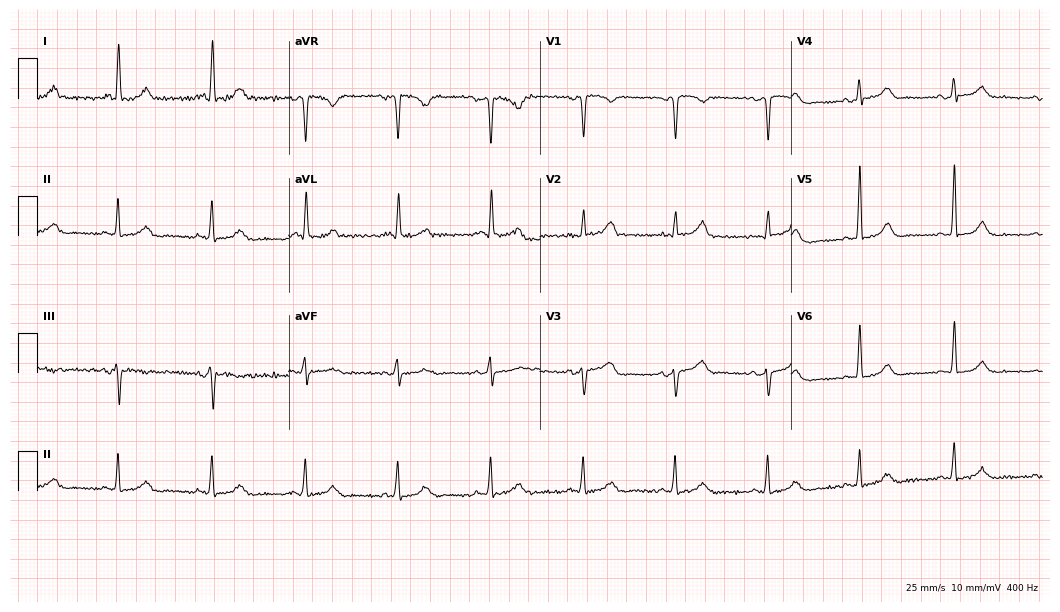
Electrocardiogram (10.2-second recording at 400 Hz), a 64-year-old female. Overall reading on record: normal ECG.